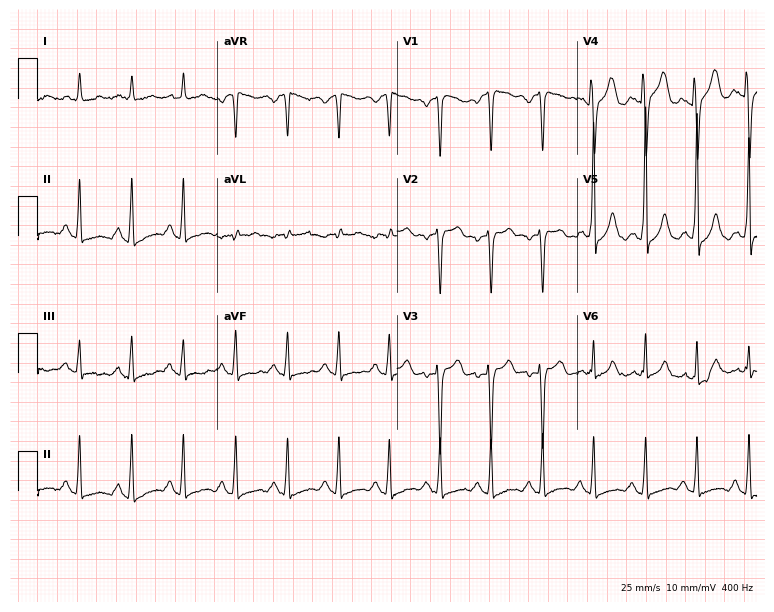
Electrocardiogram, a male, 44 years old. Interpretation includes sinus tachycardia (a sinus rate of 100 beats per minute or more).